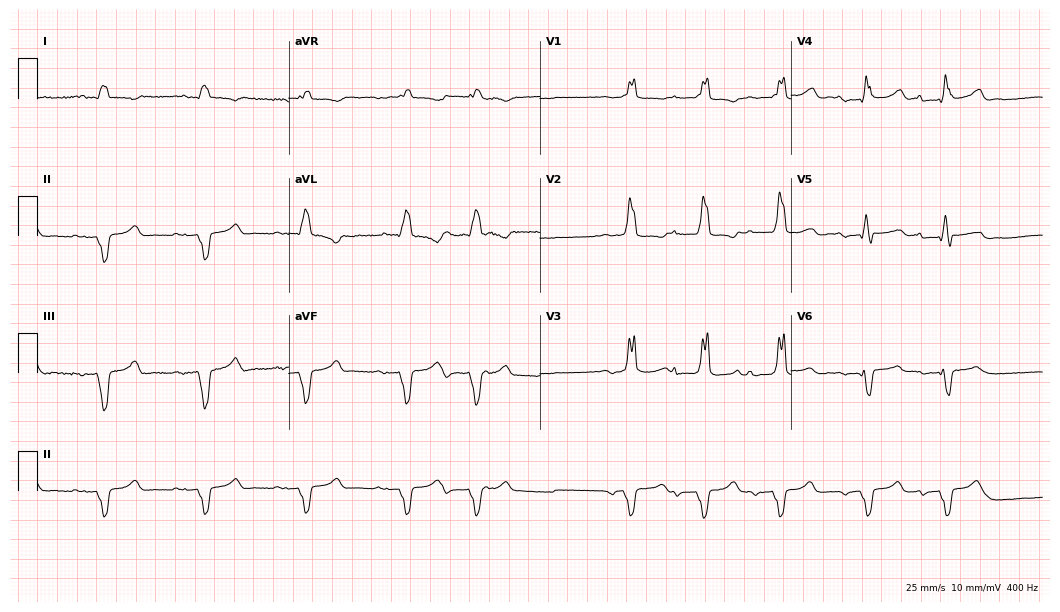
12-lead ECG from an 81-year-old man. Shows right bundle branch block.